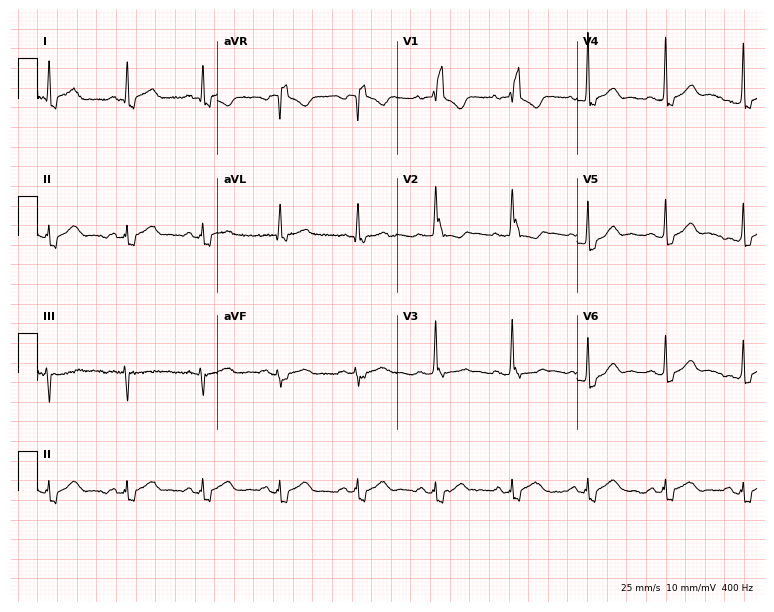
12-lead ECG from a 69-year-old woman (7.3-second recording at 400 Hz). Shows right bundle branch block.